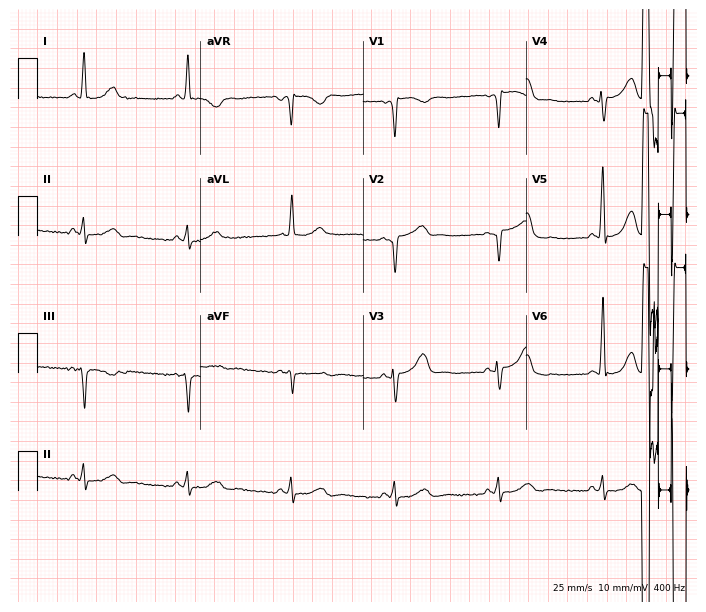
12-lead ECG from a male, 55 years old. Recorded interpretation: within normal limits.